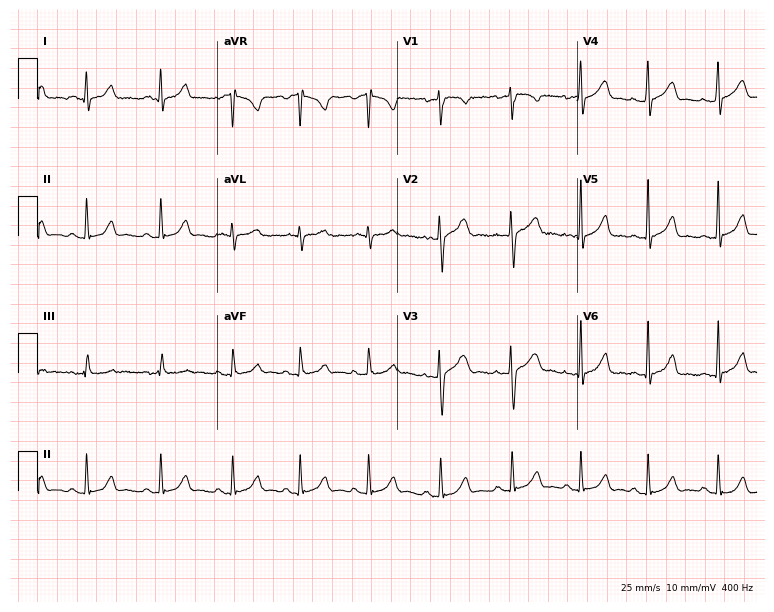
Resting 12-lead electrocardiogram (7.3-second recording at 400 Hz). Patient: a female, 18 years old. Read as a normal ECG.